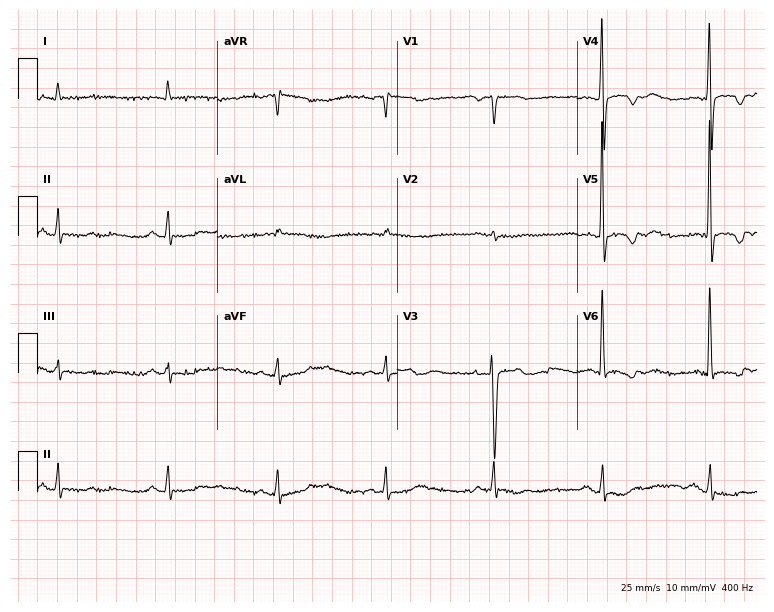
12-lead ECG from a male, 73 years old. No first-degree AV block, right bundle branch block (RBBB), left bundle branch block (LBBB), sinus bradycardia, atrial fibrillation (AF) or sinus tachycardia recorded for this tracing.